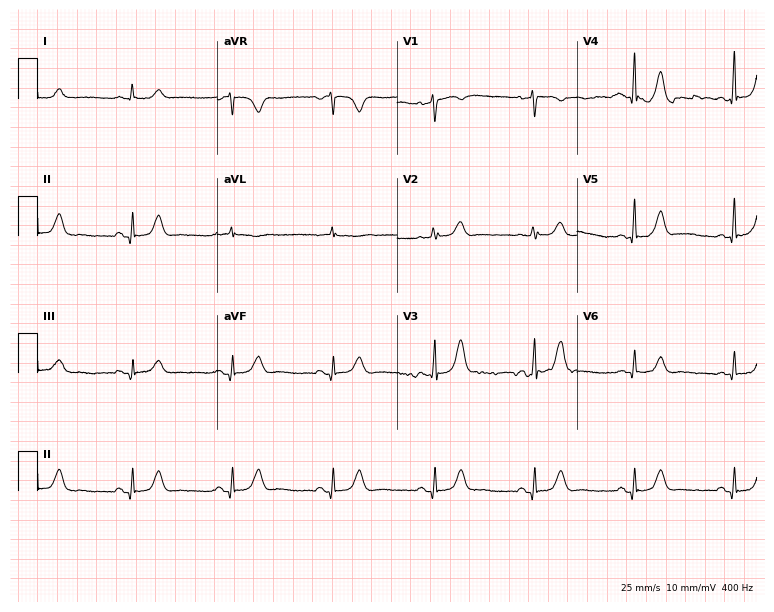
Resting 12-lead electrocardiogram. Patient: a 63-year-old female. Read as a normal ECG.